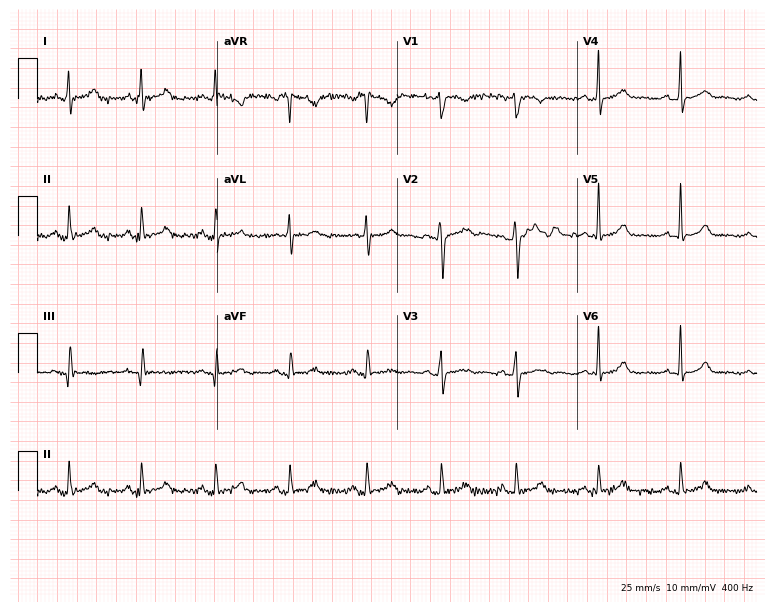
Standard 12-lead ECG recorded from a female patient, 19 years old. Read as a normal ECG.